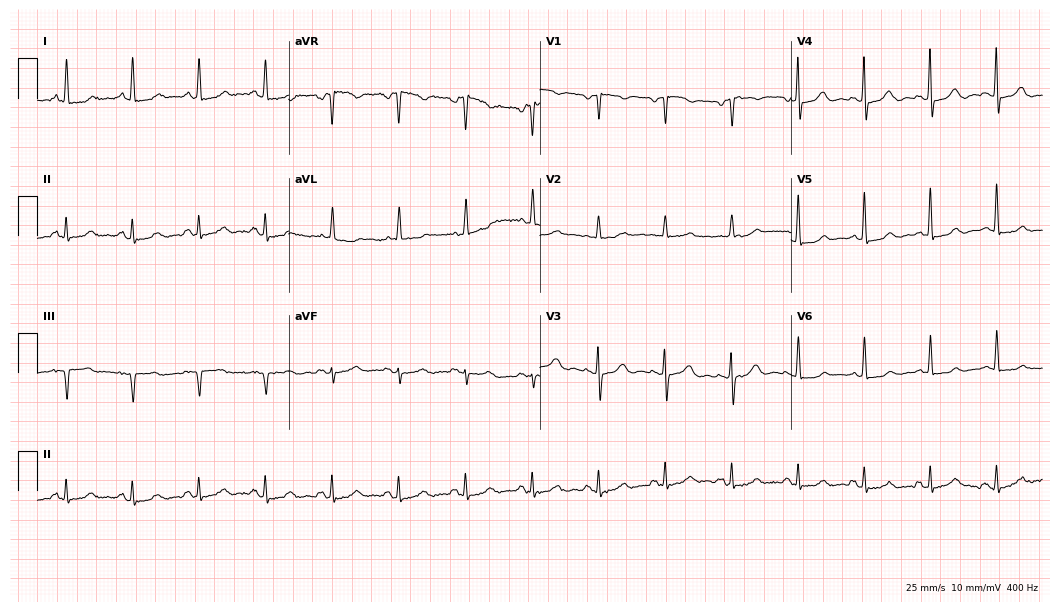
ECG (10.2-second recording at 400 Hz) — a 78-year-old female. Screened for six findings — first-degree AV block, right bundle branch block, left bundle branch block, sinus bradycardia, atrial fibrillation, sinus tachycardia — none is recorded. Only these six findings were labelled.